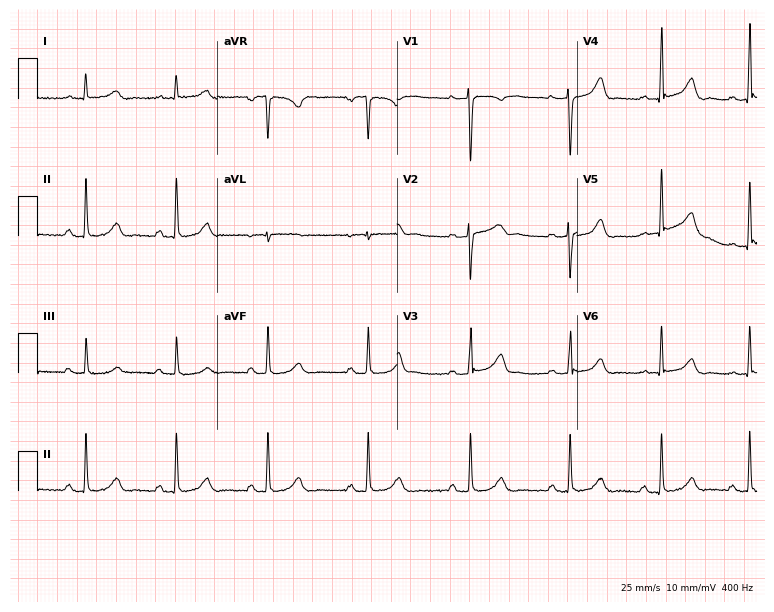
Resting 12-lead electrocardiogram (7.3-second recording at 400 Hz). Patient: a female, 47 years old. Read as a normal ECG.